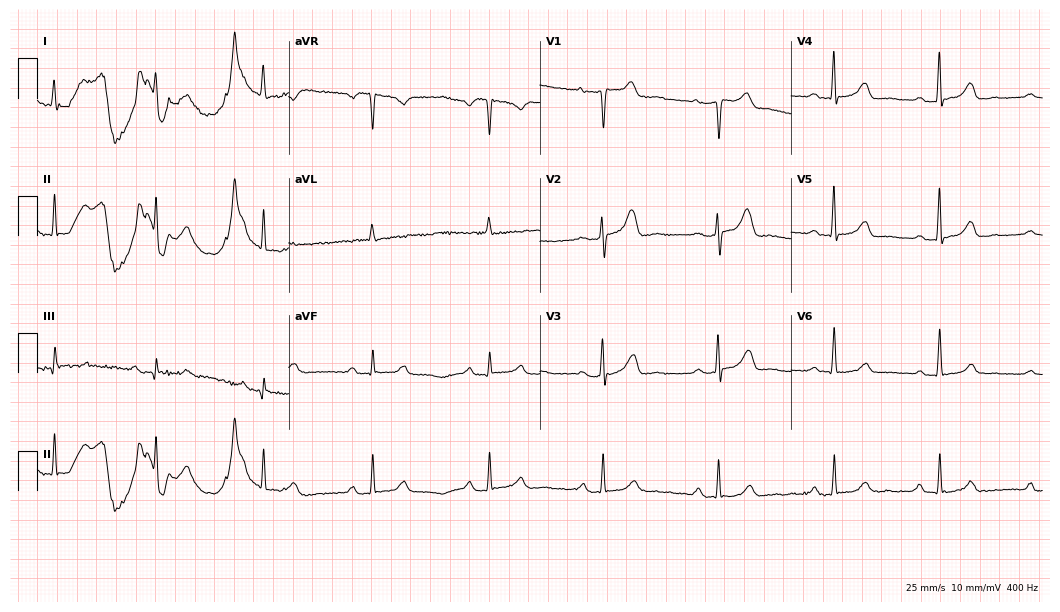
Standard 12-lead ECG recorded from a 61-year-old woman. The tracing shows first-degree AV block.